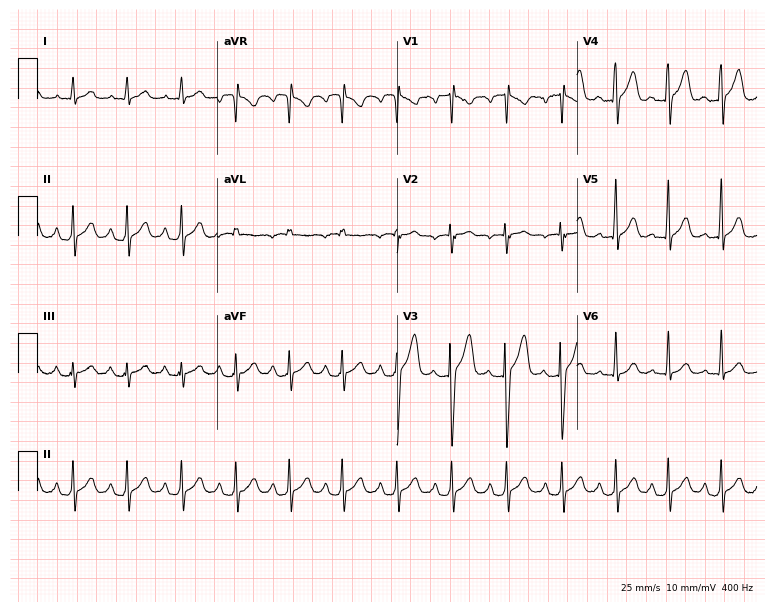
Standard 12-lead ECG recorded from a 30-year-old male. The tracing shows sinus tachycardia (a sinus rate of 100 beats per minute or more).